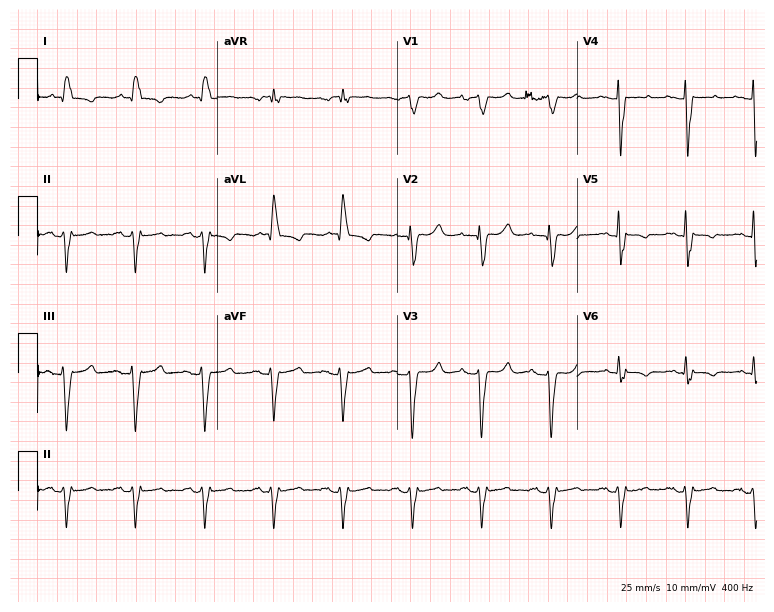
Electrocardiogram, a female patient, 76 years old. Of the six screened findings (first-degree AV block, right bundle branch block (RBBB), left bundle branch block (LBBB), sinus bradycardia, atrial fibrillation (AF), sinus tachycardia), none is recorded.